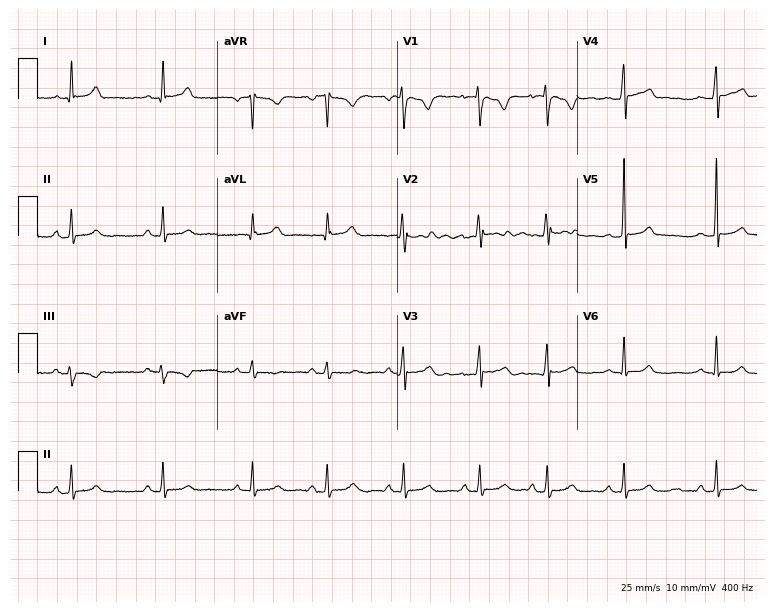
ECG — an 18-year-old female. Labelled as a normal ECG.